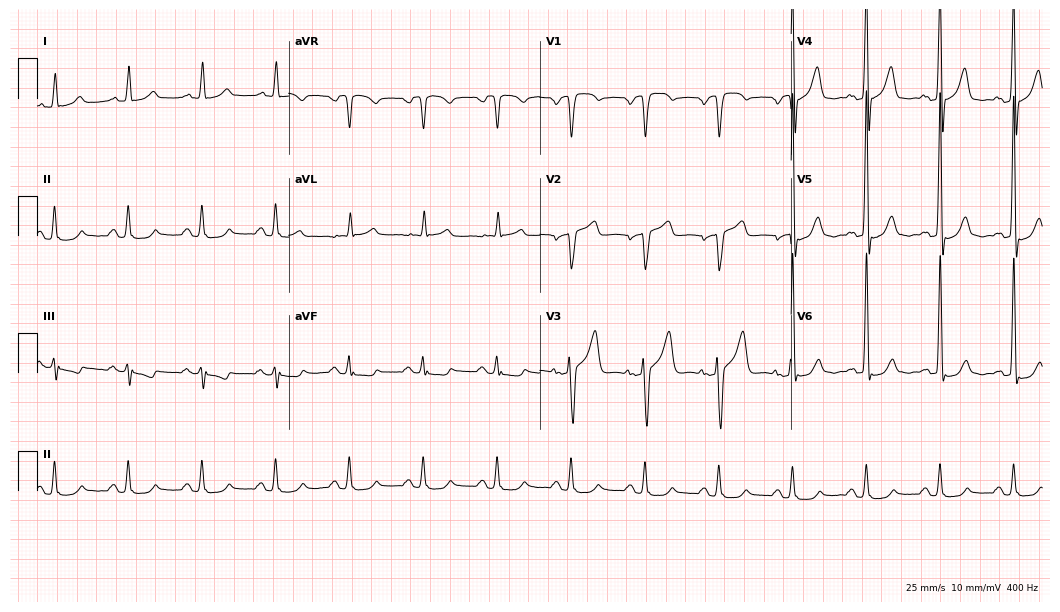
Electrocardiogram, a 76-year-old male patient. Overall reading on record: normal ECG.